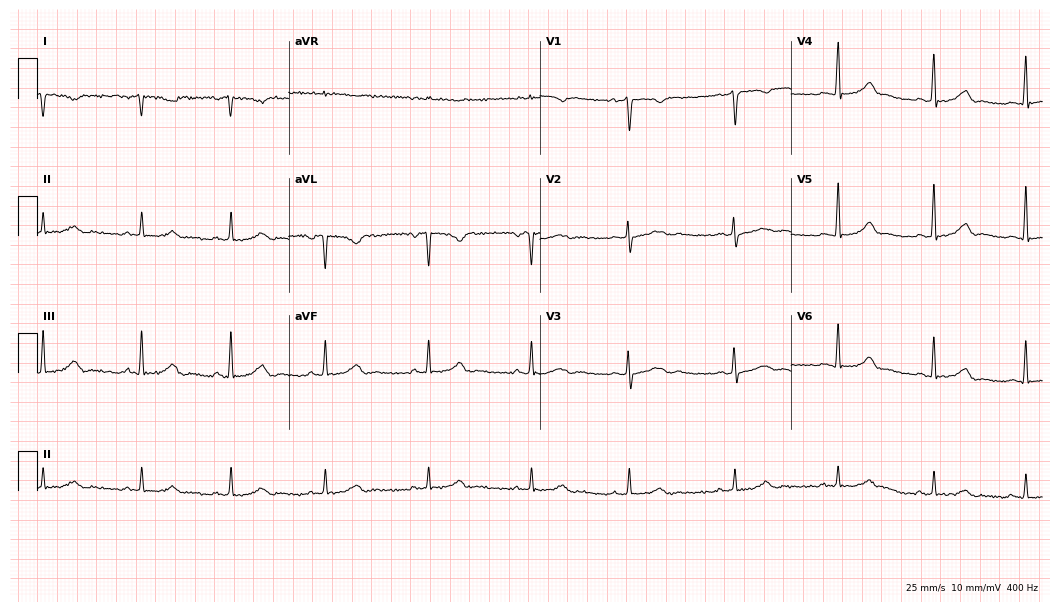
Standard 12-lead ECG recorded from a woman, 21 years old. Read as a normal ECG.